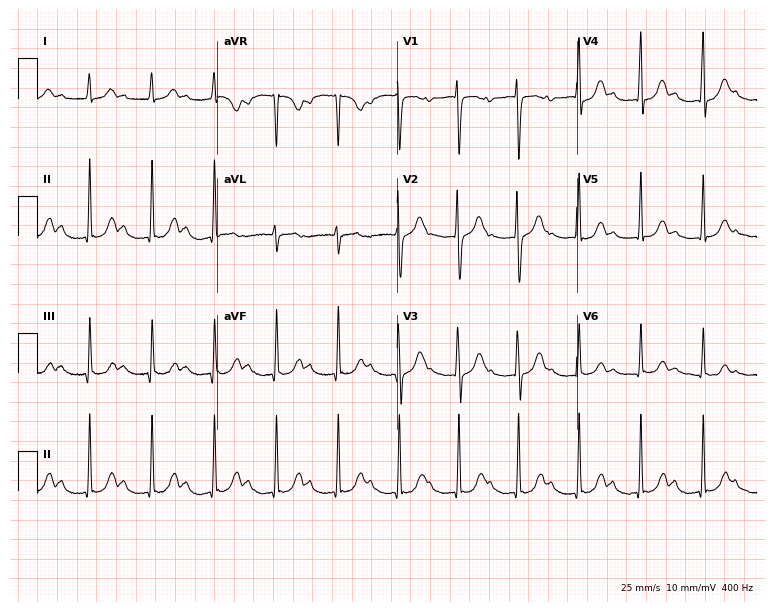
12-lead ECG from a 27-year-old woman (7.3-second recording at 400 Hz). Shows first-degree AV block.